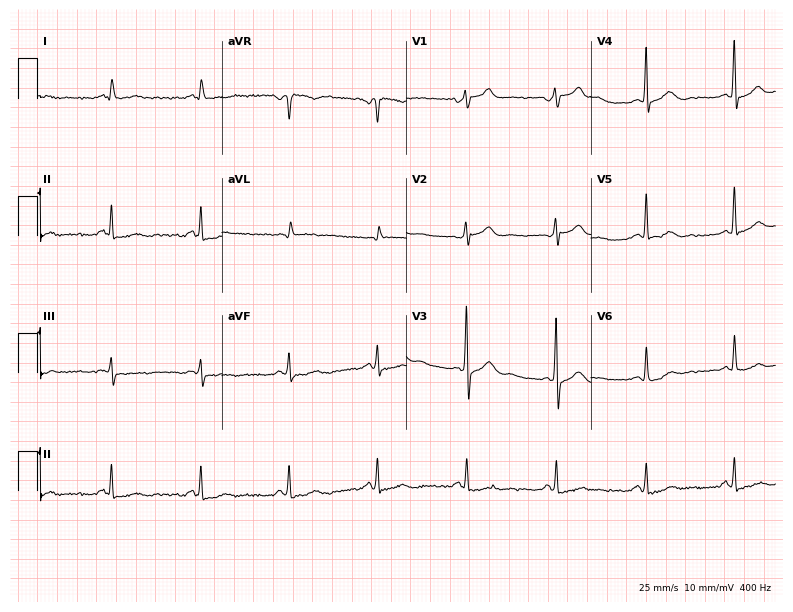
Standard 12-lead ECG recorded from a male, 43 years old. None of these six findings is recorded: first-degree AV block, right bundle branch block (RBBB), left bundle branch block (LBBB), sinus bradycardia, atrial fibrillation (AF), sinus tachycardia.